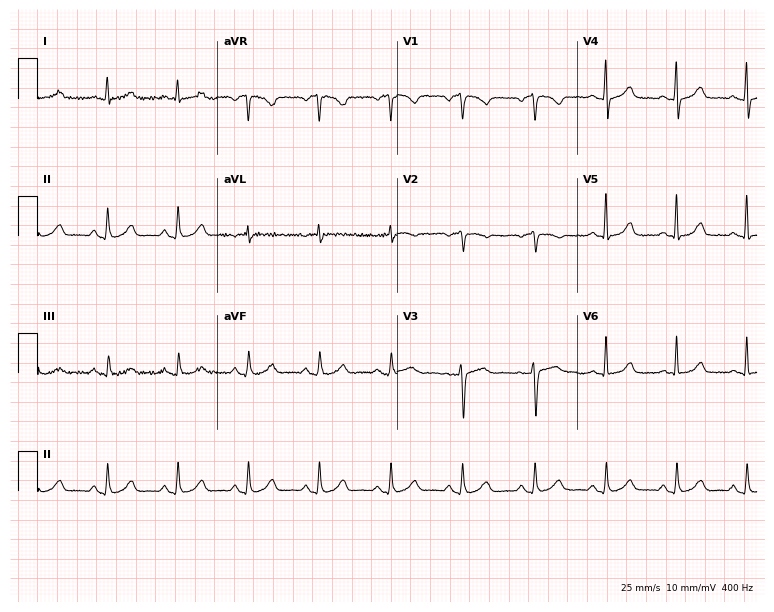
12-lead ECG from a female patient, 63 years old. Recorded interpretation: within normal limits.